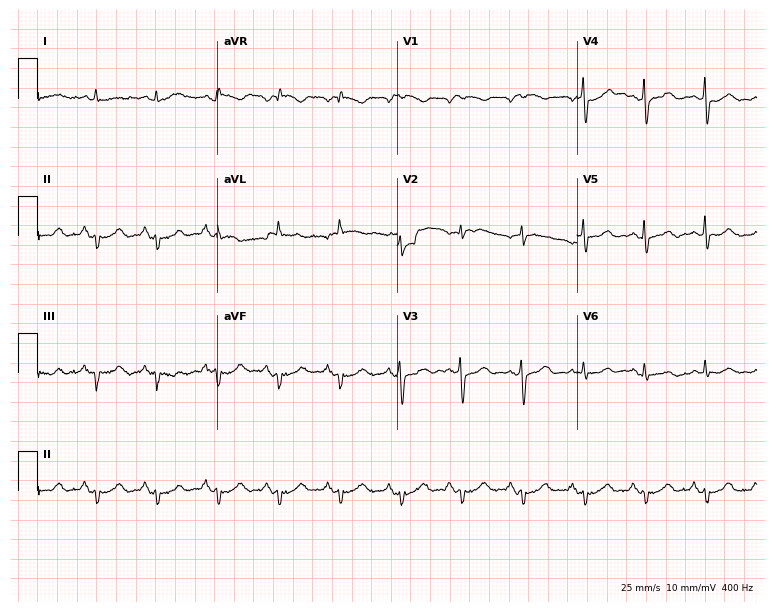
Electrocardiogram, a man, 72 years old. Of the six screened findings (first-degree AV block, right bundle branch block, left bundle branch block, sinus bradycardia, atrial fibrillation, sinus tachycardia), none is recorded. Findings outside these six are not listed.